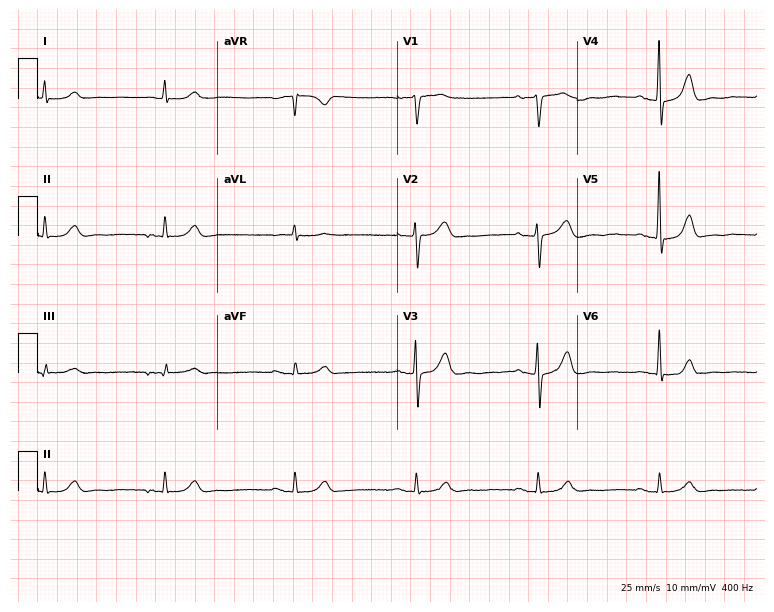
12-lead ECG from a 76-year-old male (7.3-second recording at 400 Hz). Shows sinus bradycardia (a sinus rate of 50 beats per minute or less).